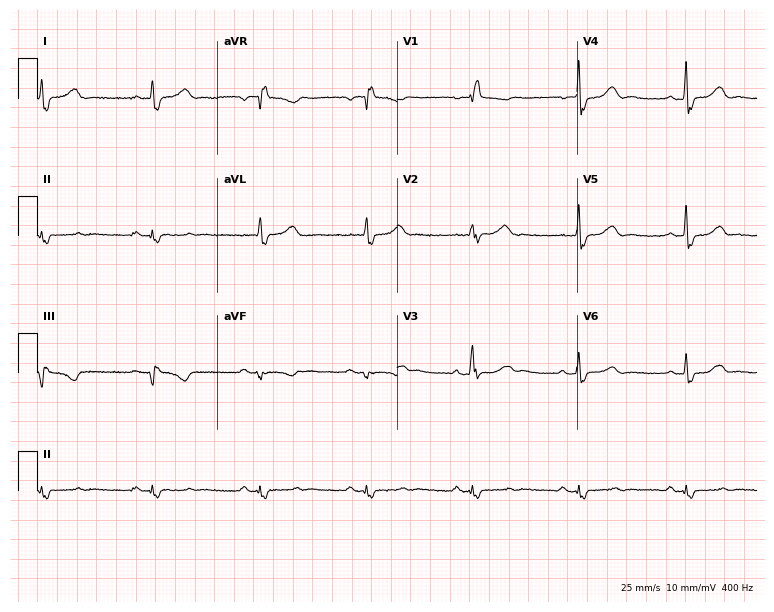
12-lead ECG from a woman, 51 years old. Findings include right bundle branch block.